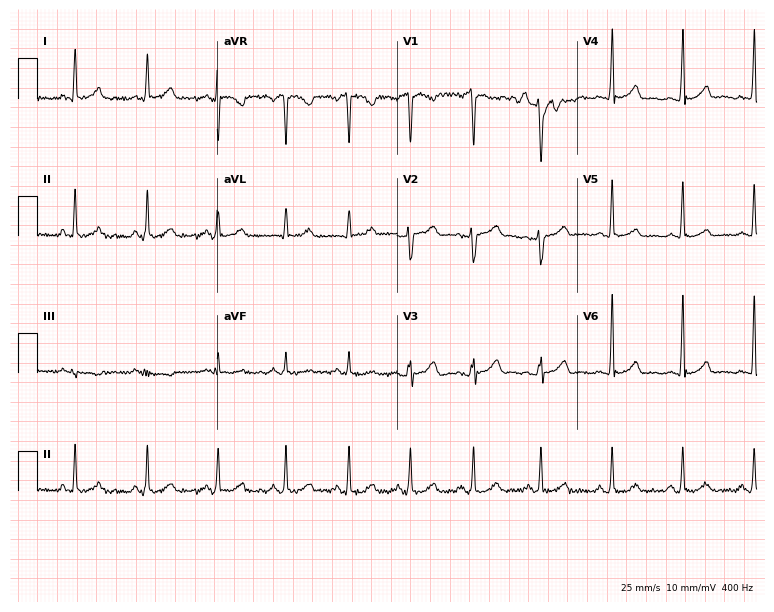
12-lead ECG from a 39-year-old female patient. Screened for six findings — first-degree AV block, right bundle branch block, left bundle branch block, sinus bradycardia, atrial fibrillation, sinus tachycardia — none is recorded. Other findings, if any, are not listed.